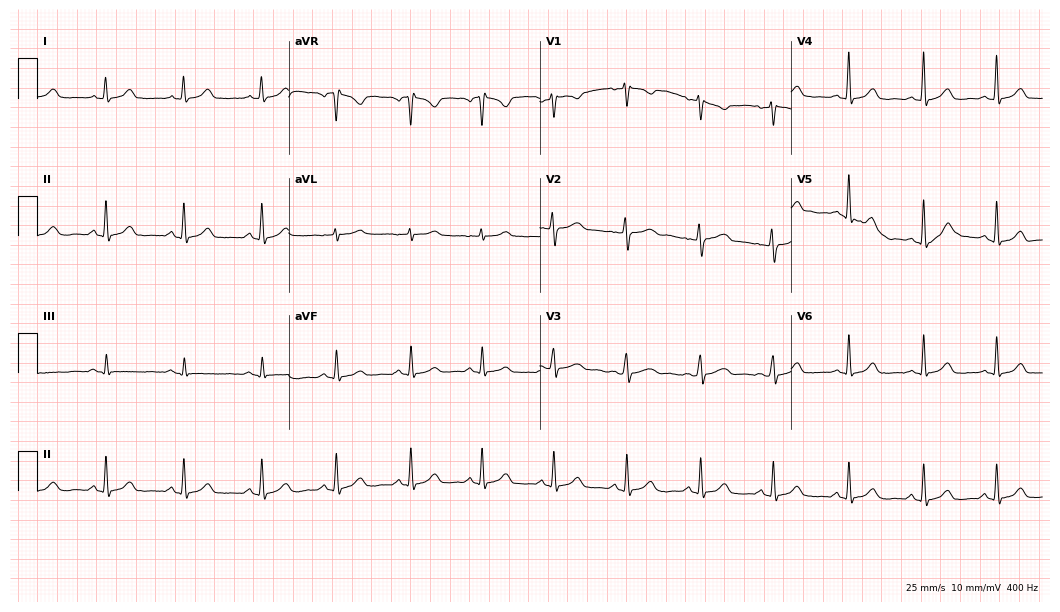
ECG — a woman, 48 years old. Labelled as a normal ECG.